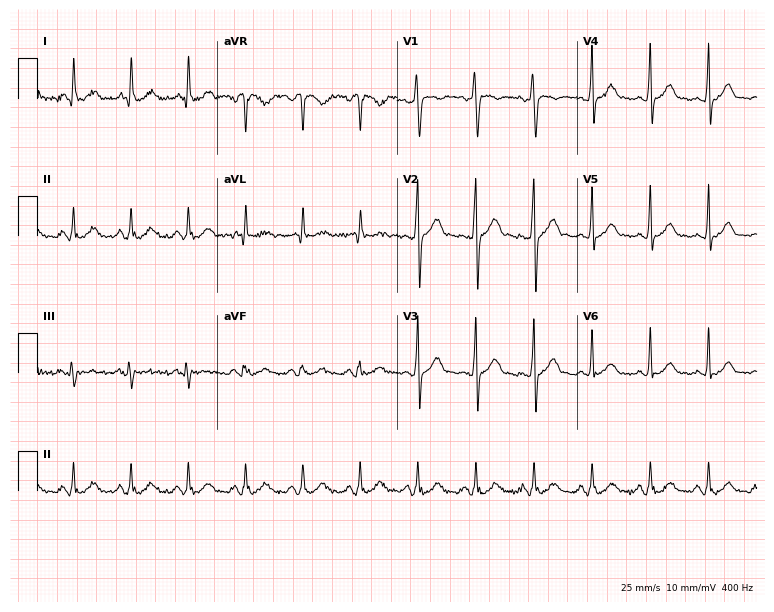
12-lead ECG from a 41-year-old male patient. Recorded interpretation: within normal limits.